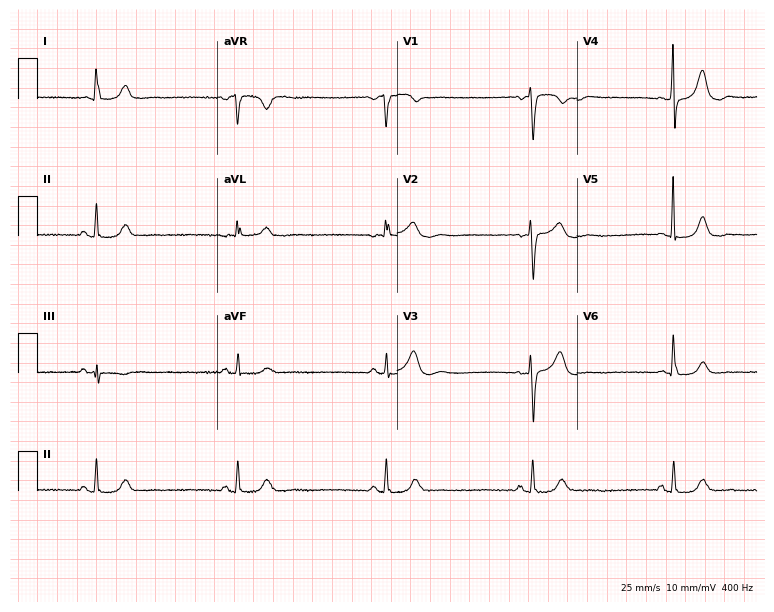
12-lead ECG from a female patient, 83 years old (7.3-second recording at 400 Hz). Shows sinus bradycardia (a sinus rate of 50 beats per minute or less).